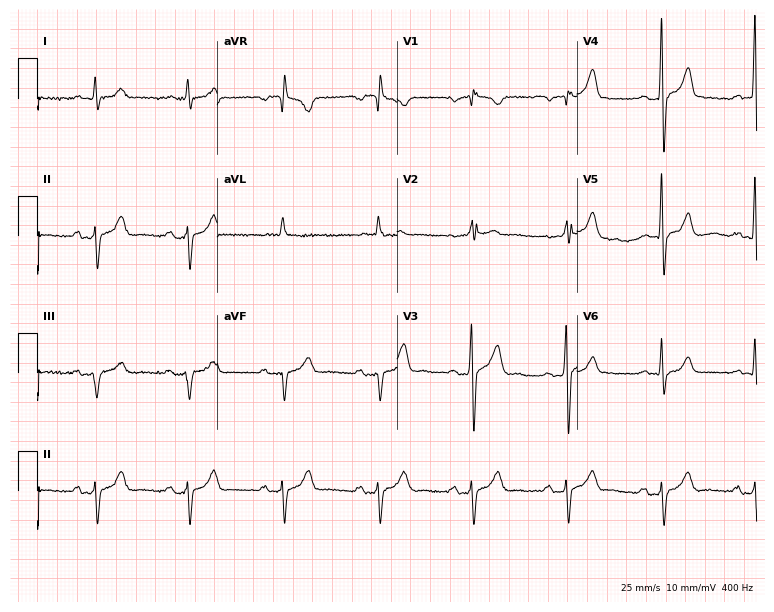
Standard 12-lead ECG recorded from a man, 64 years old (7.3-second recording at 400 Hz). None of these six findings is recorded: first-degree AV block, right bundle branch block, left bundle branch block, sinus bradycardia, atrial fibrillation, sinus tachycardia.